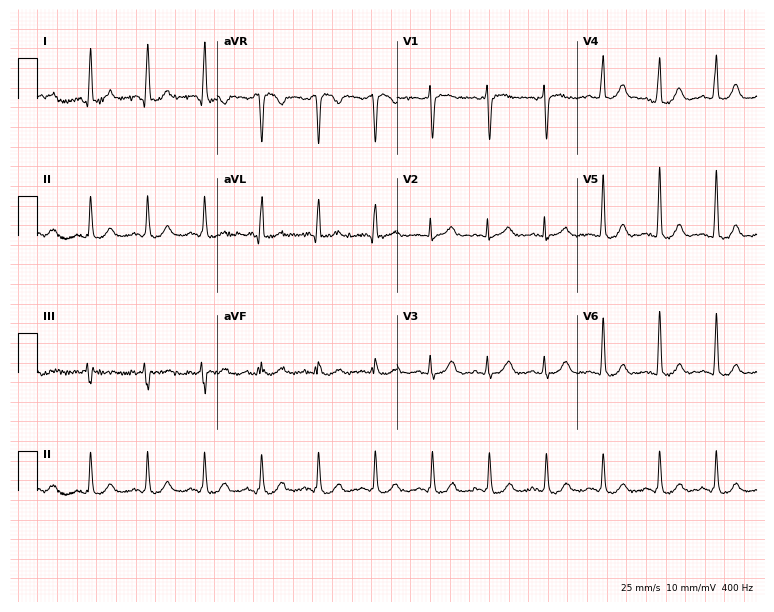
Standard 12-lead ECG recorded from a woman, 57 years old. None of these six findings is recorded: first-degree AV block, right bundle branch block, left bundle branch block, sinus bradycardia, atrial fibrillation, sinus tachycardia. Findings outside these six are not listed.